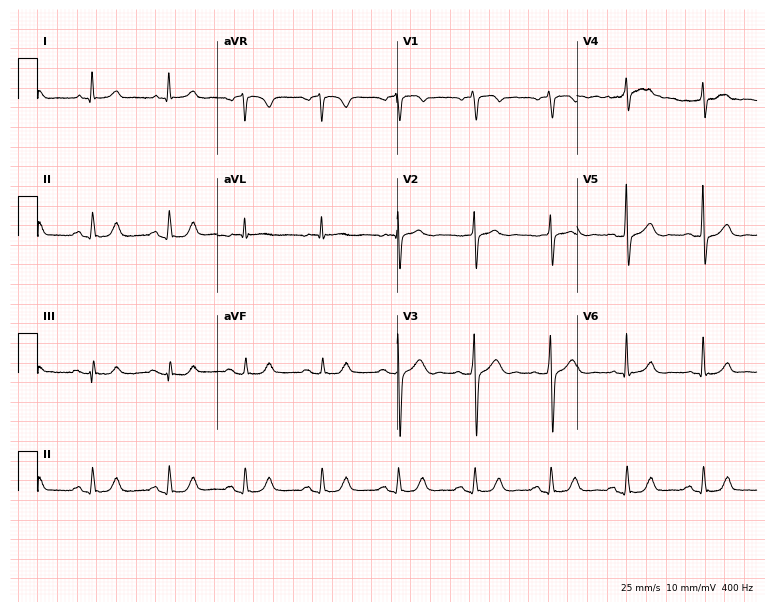
12-lead ECG from a male, 19 years old (7.3-second recording at 400 Hz). Recorded interpretation: within normal limits.